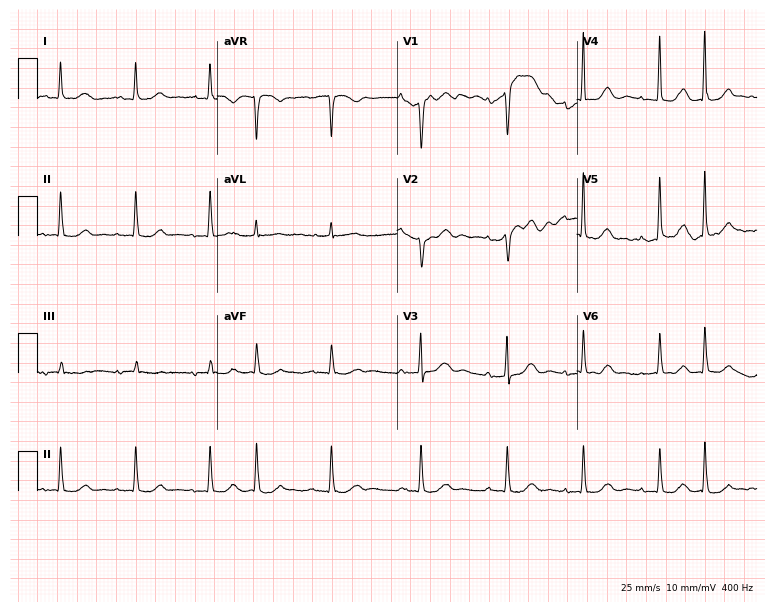
12-lead ECG from an 83-year-old female. Screened for six findings — first-degree AV block, right bundle branch block (RBBB), left bundle branch block (LBBB), sinus bradycardia, atrial fibrillation (AF), sinus tachycardia — none is recorded.